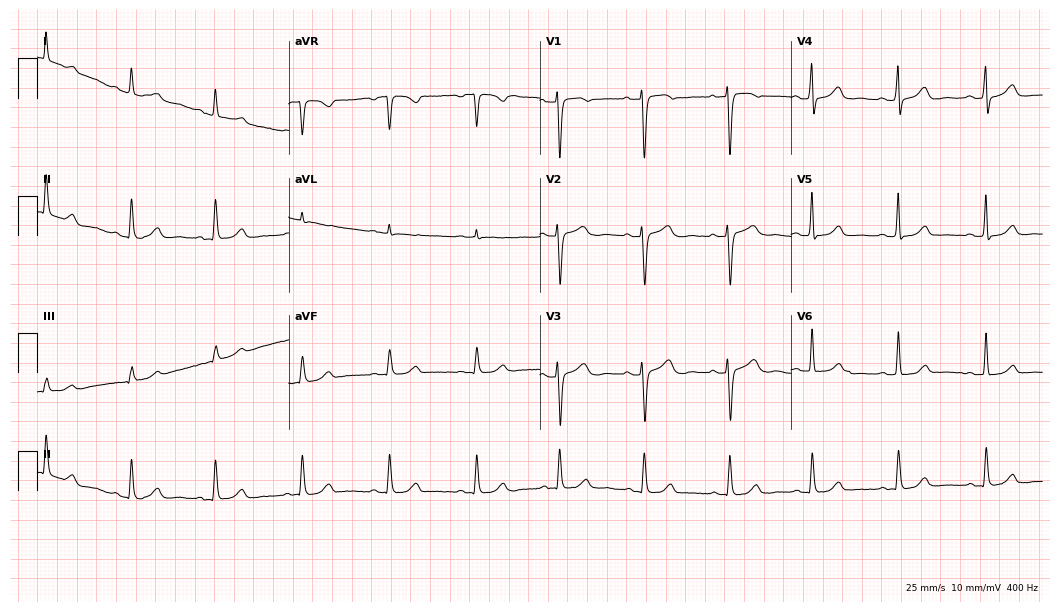
Electrocardiogram, a female, 43 years old. Overall reading on record: normal ECG.